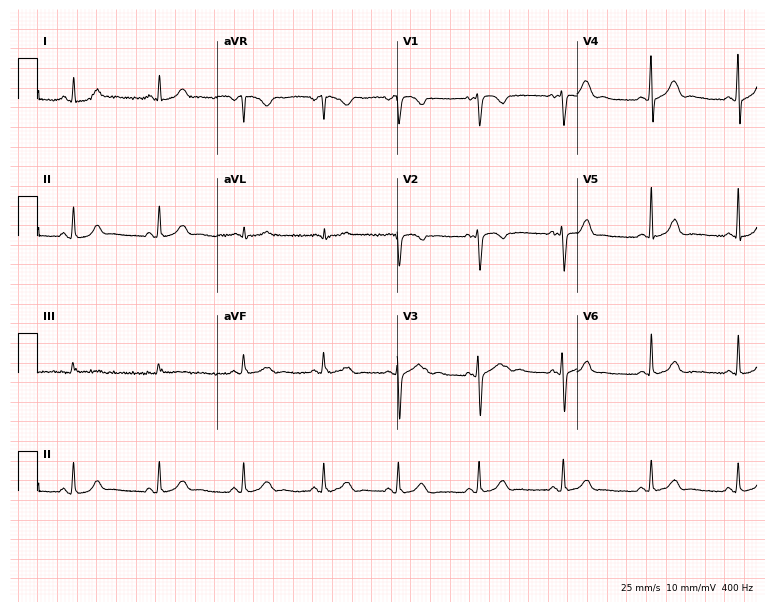
12-lead ECG from a female patient, 24 years old. Labelled as a normal ECG.